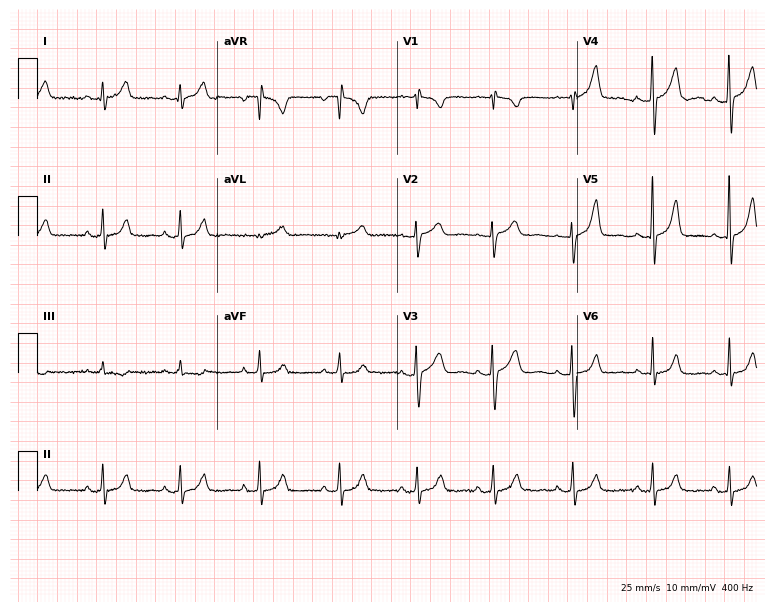
12-lead ECG from a 29-year-old woman (7.3-second recording at 400 Hz). No first-degree AV block, right bundle branch block, left bundle branch block, sinus bradycardia, atrial fibrillation or sinus tachycardia recorded for this tracing.